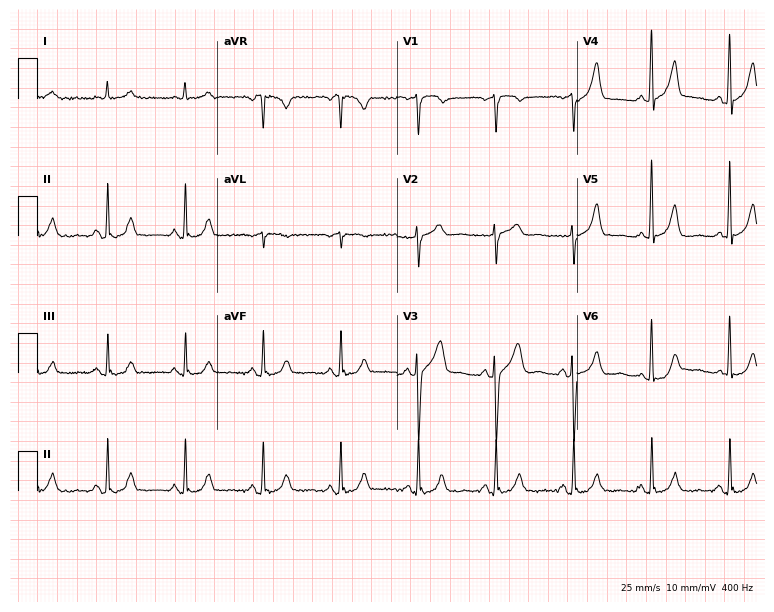
Resting 12-lead electrocardiogram. Patient: a 73-year-old male. Read as a normal ECG.